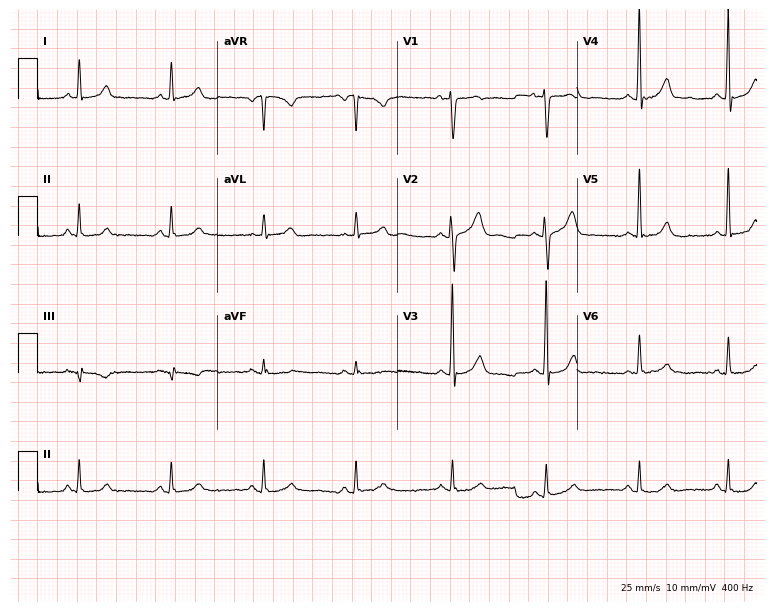
12-lead ECG from a 48-year-old man. Screened for six findings — first-degree AV block, right bundle branch block, left bundle branch block, sinus bradycardia, atrial fibrillation, sinus tachycardia — none is recorded.